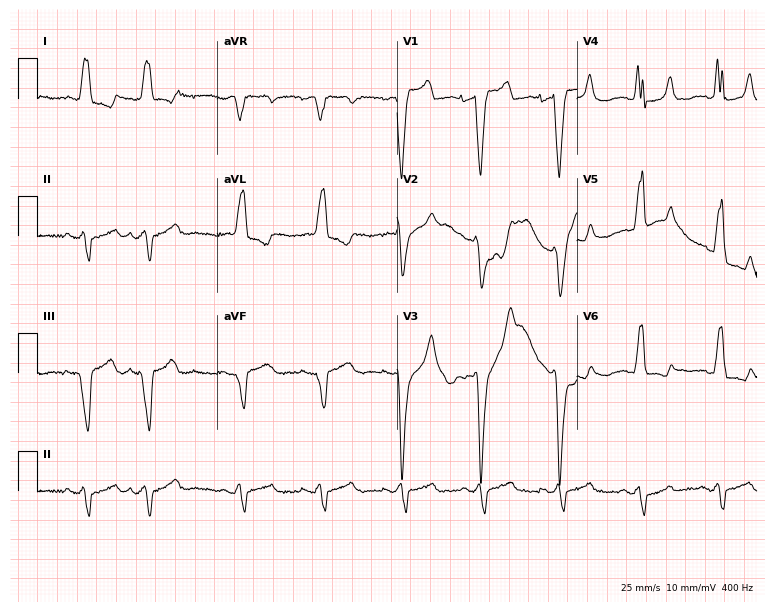
12-lead ECG from a female, 80 years old. Screened for six findings — first-degree AV block, right bundle branch block, left bundle branch block, sinus bradycardia, atrial fibrillation, sinus tachycardia — none is recorded. Only these six findings were labelled.